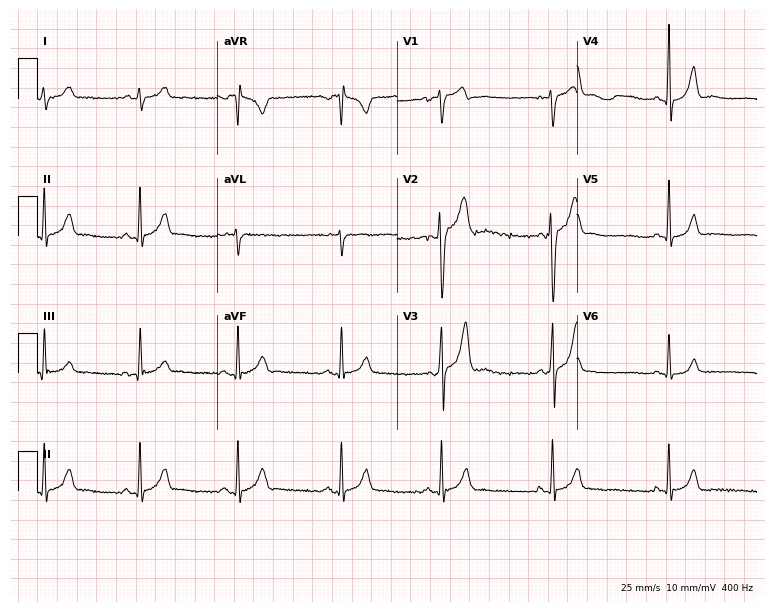
Electrocardiogram, a 20-year-old male. Overall reading on record: normal ECG.